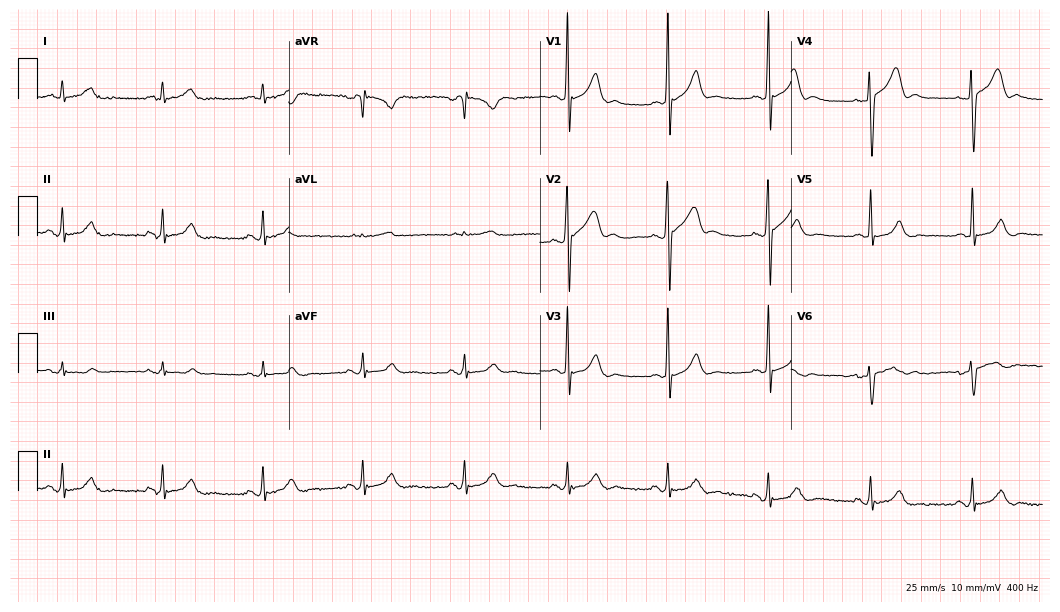
Standard 12-lead ECG recorded from a male patient, 59 years old. None of these six findings is recorded: first-degree AV block, right bundle branch block (RBBB), left bundle branch block (LBBB), sinus bradycardia, atrial fibrillation (AF), sinus tachycardia.